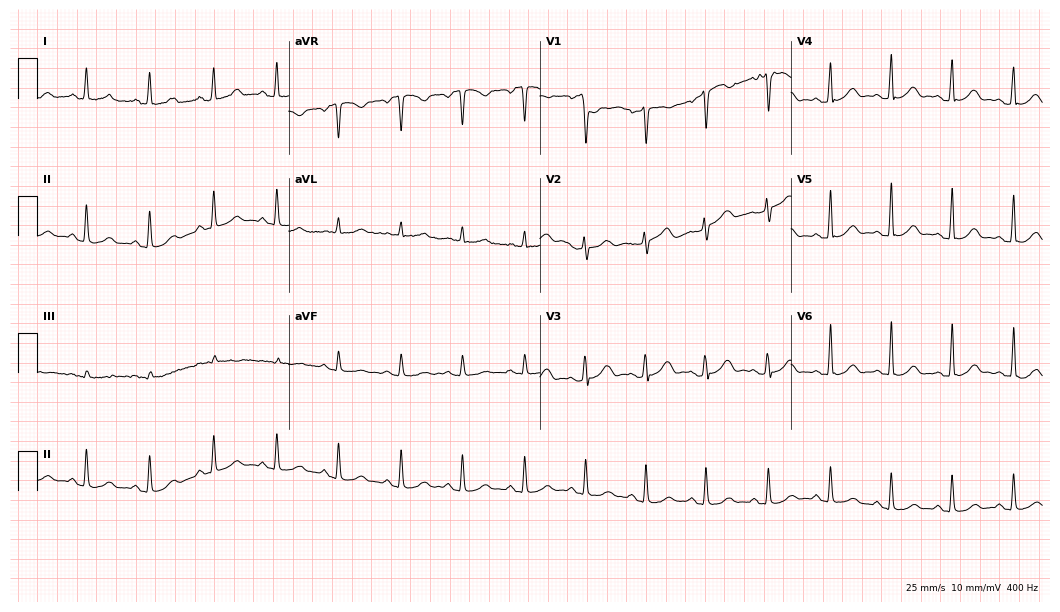
12-lead ECG from a 25-year-old female. Labelled as a normal ECG.